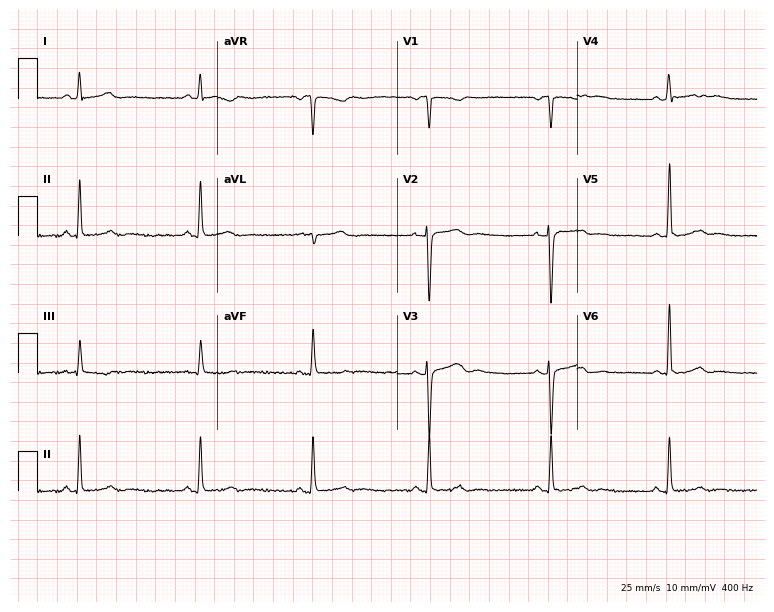
12-lead ECG (7.3-second recording at 400 Hz) from a female patient, 24 years old. Labelled as a normal ECG.